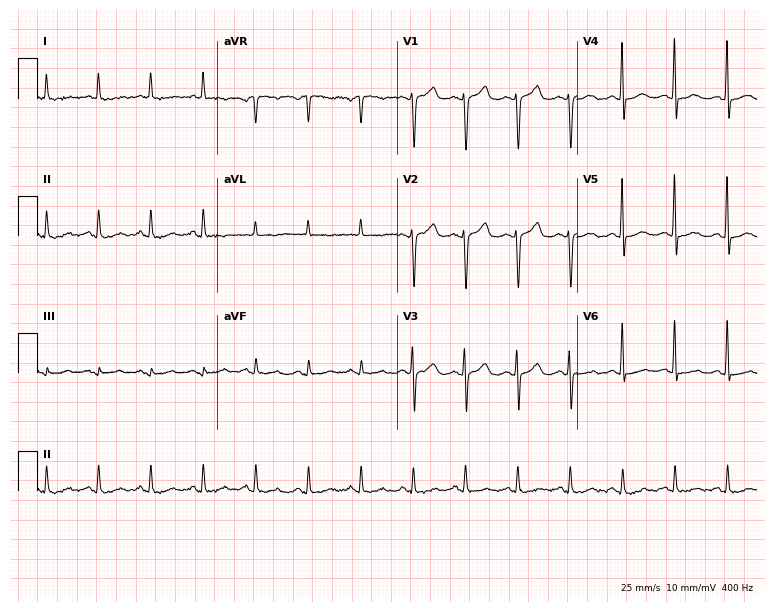
Electrocardiogram, a 45-year-old female patient. Of the six screened findings (first-degree AV block, right bundle branch block, left bundle branch block, sinus bradycardia, atrial fibrillation, sinus tachycardia), none is recorded.